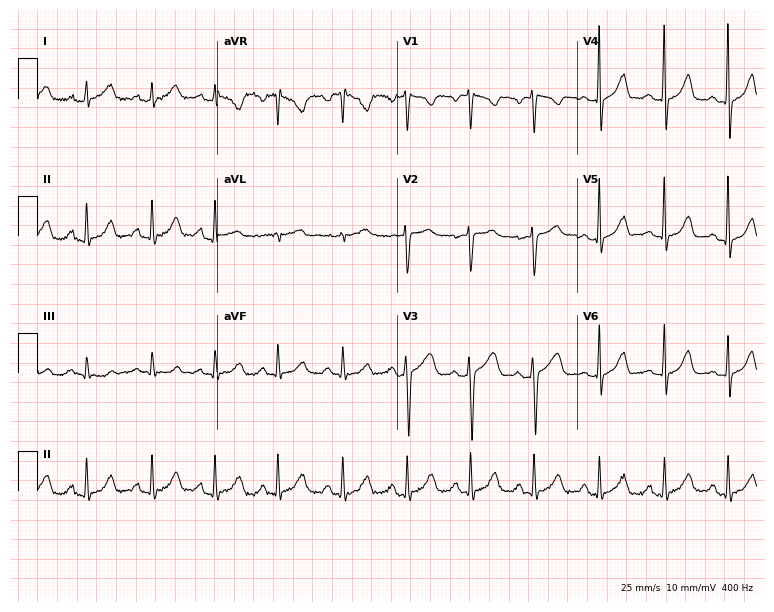
12-lead ECG from a 54-year-old female. Recorded interpretation: within normal limits.